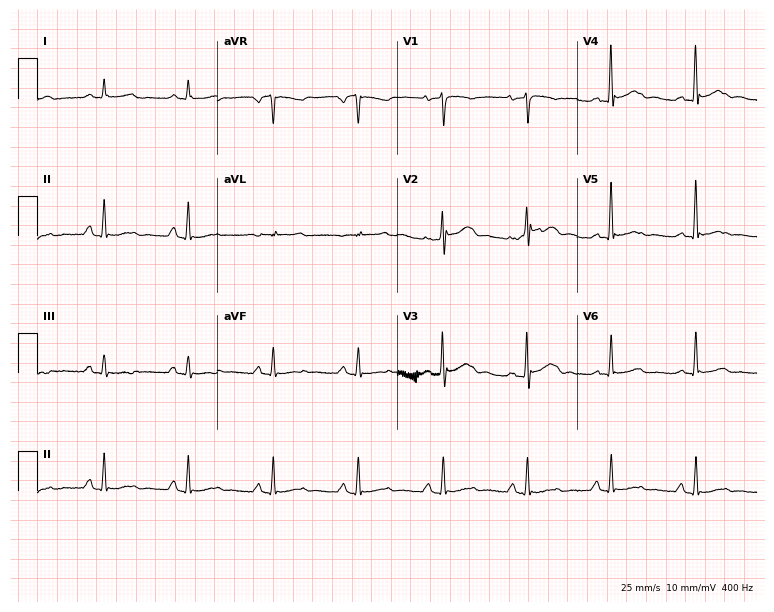
12-lead ECG from a 52-year-old female patient. Labelled as a normal ECG.